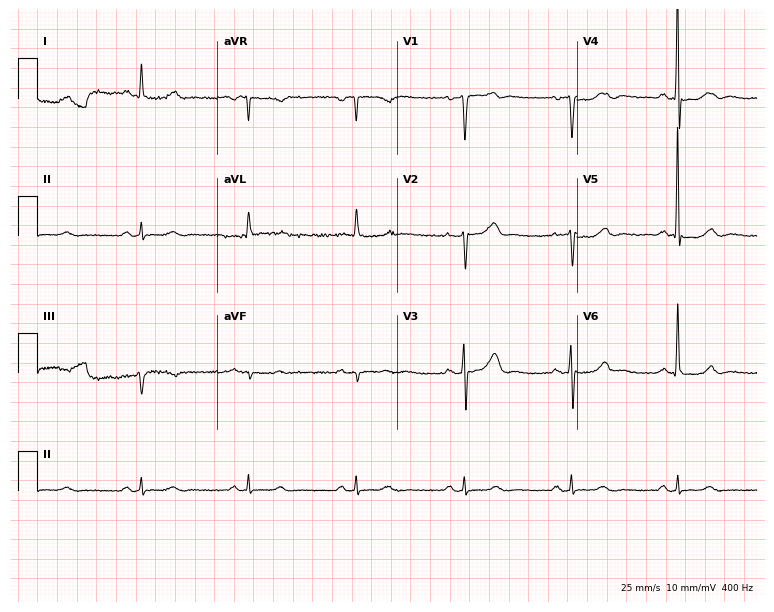
12-lead ECG from a male patient, 81 years old (7.3-second recording at 400 Hz). No first-degree AV block, right bundle branch block, left bundle branch block, sinus bradycardia, atrial fibrillation or sinus tachycardia recorded for this tracing.